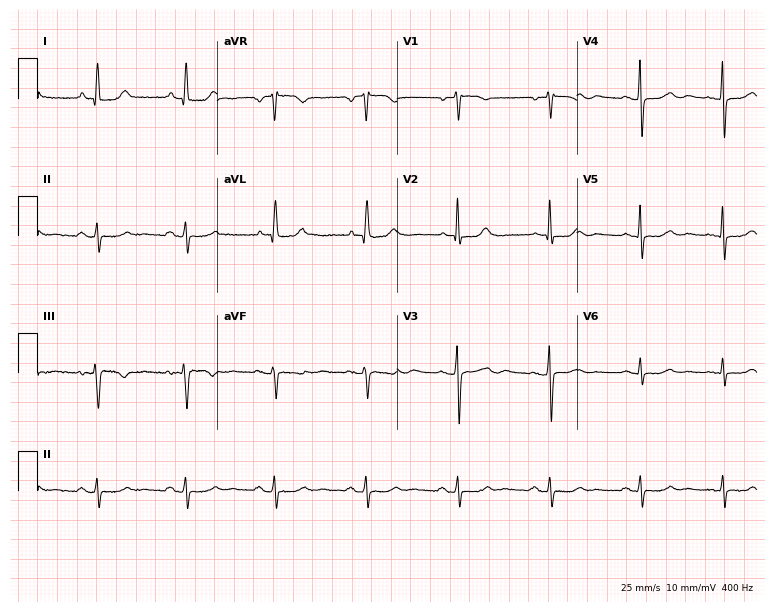
ECG (7.3-second recording at 400 Hz) — a woman, 85 years old. Labelled as a normal ECG.